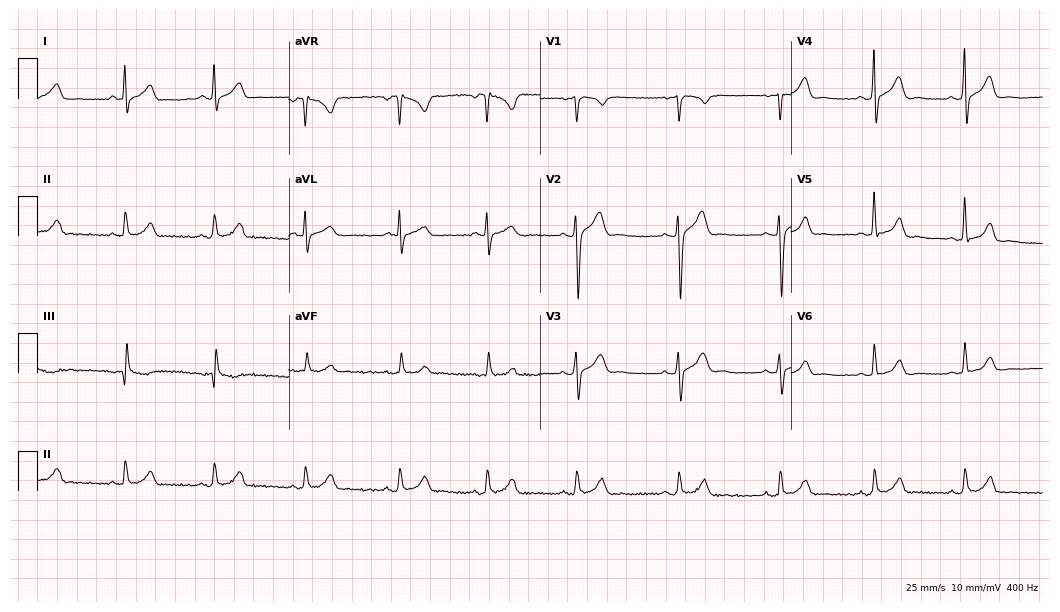
Electrocardiogram (10.2-second recording at 400 Hz), a 37-year-old male. Overall reading on record: normal ECG.